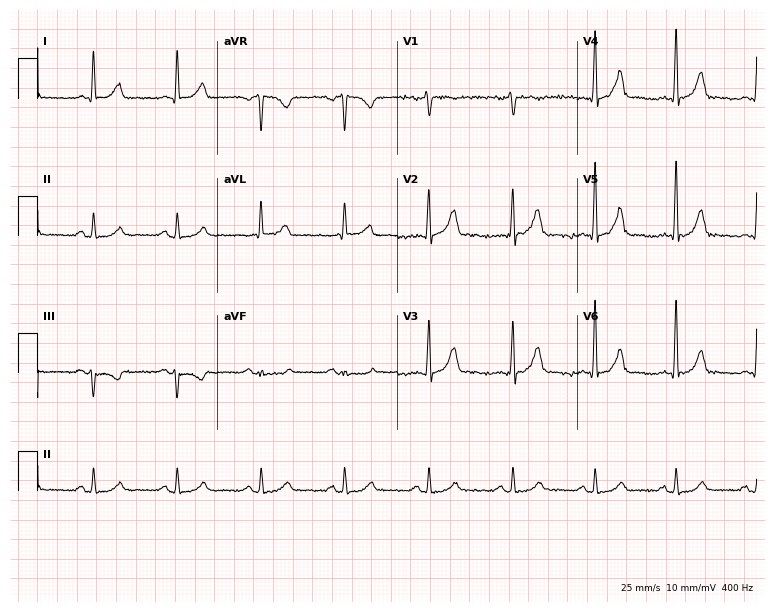
Standard 12-lead ECG recorded from a female patient, 47 years old. Read as a normal ECG.